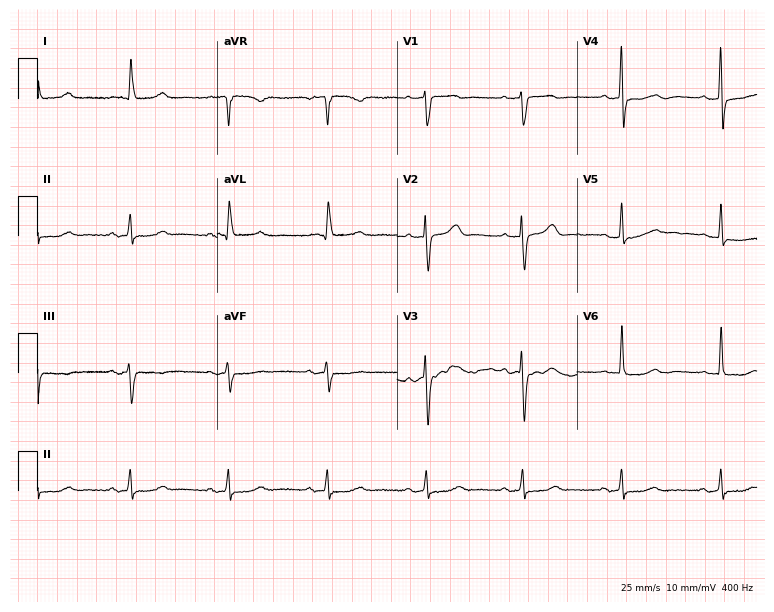
Standard 12-lead ECG recorded from a 77-year-old female patient (7.3-second recording at 400 Hz). None of these six findings is recorded: first-degree AV block, right bundle branch block (RBBB), left bundle branch block (LBBB), sinus bradycardia, atrial fibrillation (AF), sinus tachycardia.